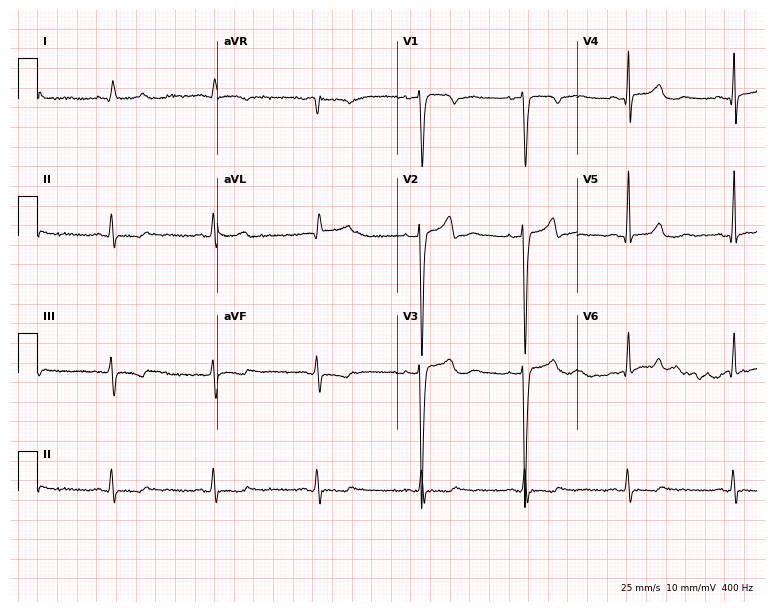
12-lead ECG from a male patient, 72 years old. No first-degree AV block, right bundle branch block, left bundle branch block, sinus bradycardia, atrial fibrillation or sinus tachycardia recorded for this tracing.